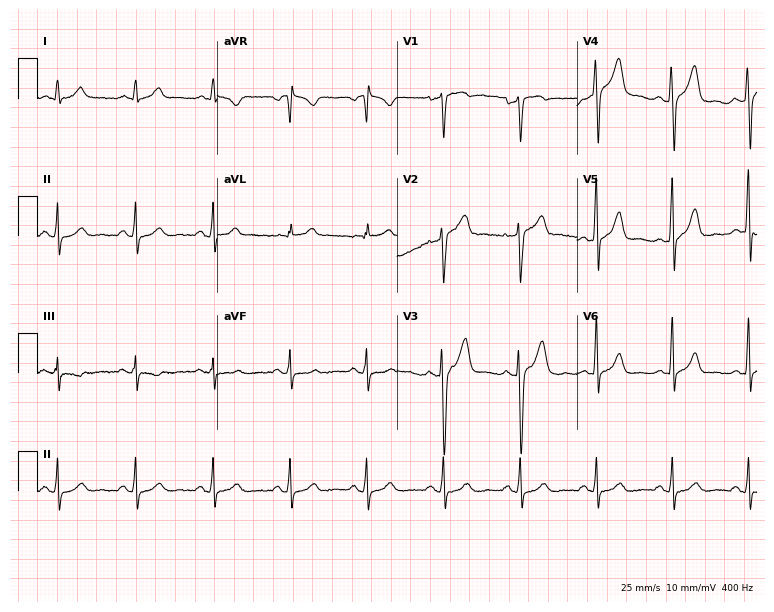
ECG — a male patient, 53 years old. Labelled as a normal ECG.